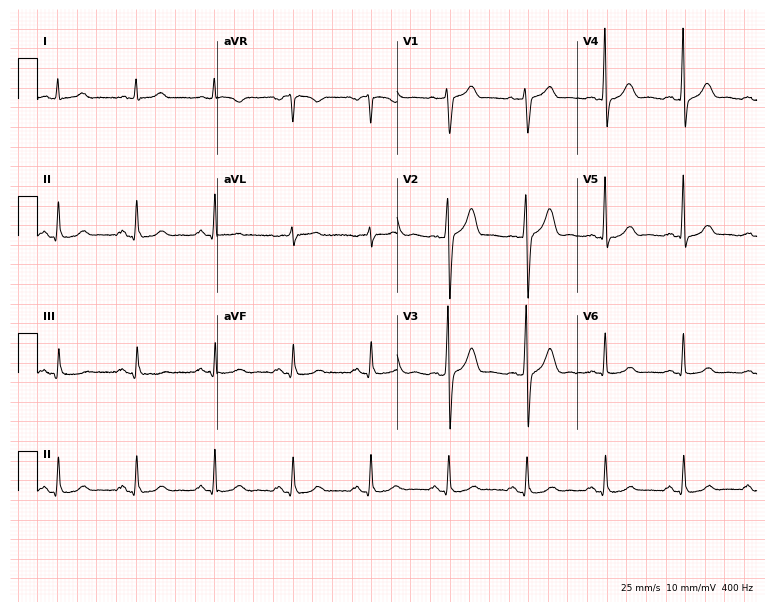
Electrocardiogram (7.3-second recording at 400 Hz), a 78-year-old male. Overall reading on record: normal ECG.